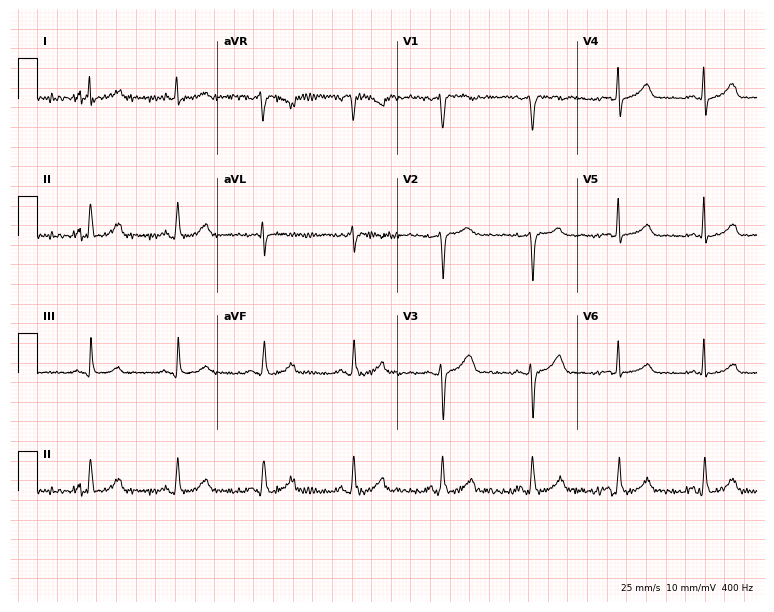
Electrocardiogram (7.3-second recording at 400 Hz), a 45-year-old woman. Overall reading on record: normal ECG.